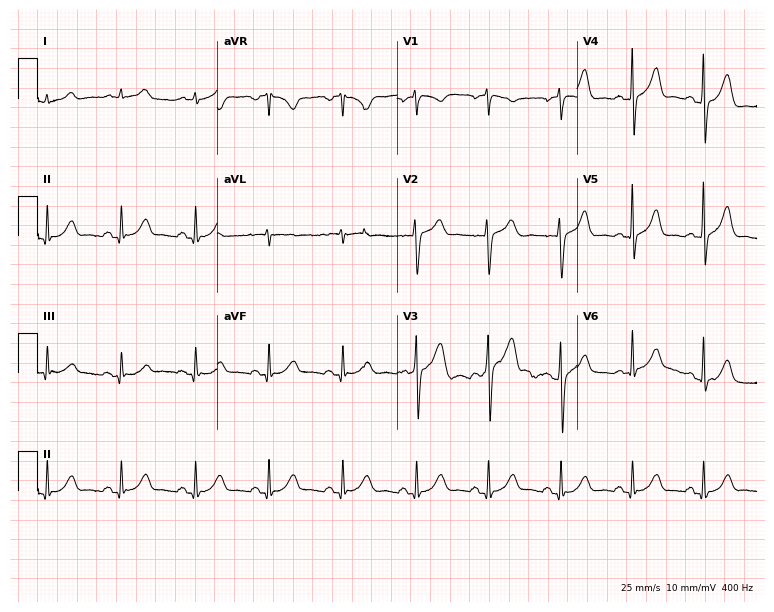
Resting 12-lead electrocardiogram (7.3-second recording at 400 Hz). Patient: a male, 48 years old. Read as a normal ECG.